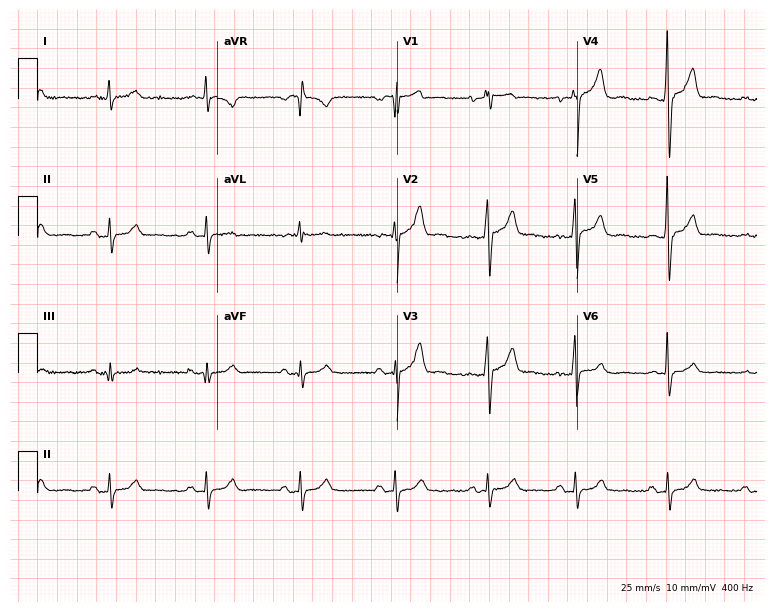
12-lead ECG from a 53-year-old man (7.3-second recording at 400 Hz). No first-degree AV block, right bundle branch block (RBBB), left bundle branch block (LBBB), sinus bradycardia, atrial fibrillation (AF) or sinus tachycardia recorded for this tracing. Findings outside these six are not listed.